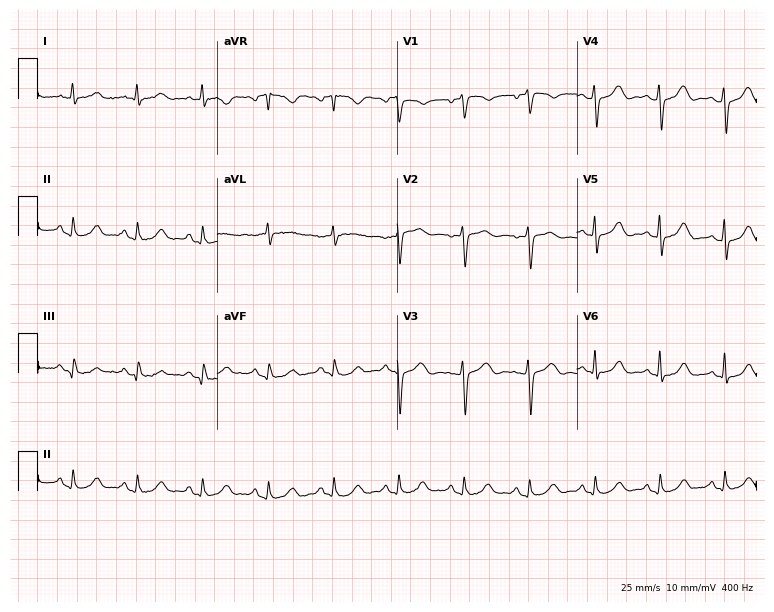
Standard 12-lead ECG recorded from a 53-year-old female (7.3-second recording at 400 Hz). None of these six findings is recorded: first-degree AV block, right bundle branch block, left bundle branch block, sinus bradycardia, atrial fibrillation, sinus tachycardia.